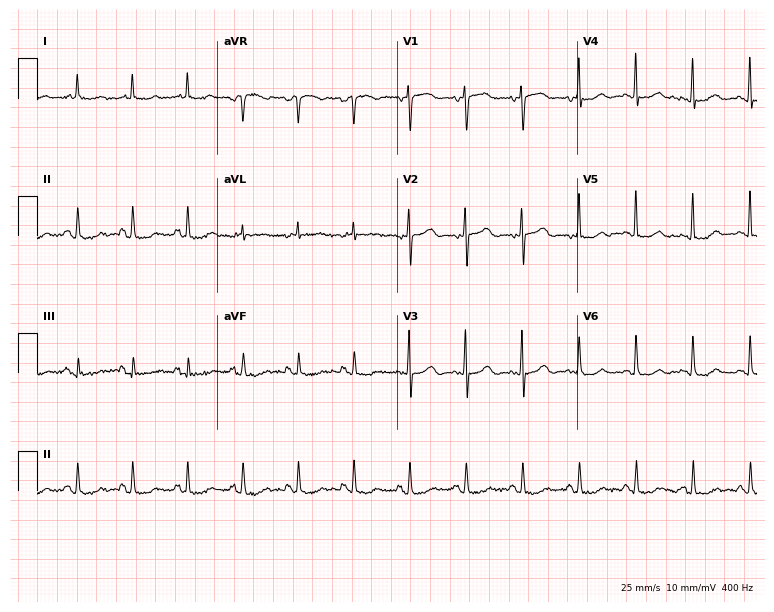
ECG — a female, 84 years old. Screened for six findings — first-degree AV block, right bundle branch block, left bundle branch block, sinus bradycardia, atrial fibrillation, sinus tachycardia — none is recorded.